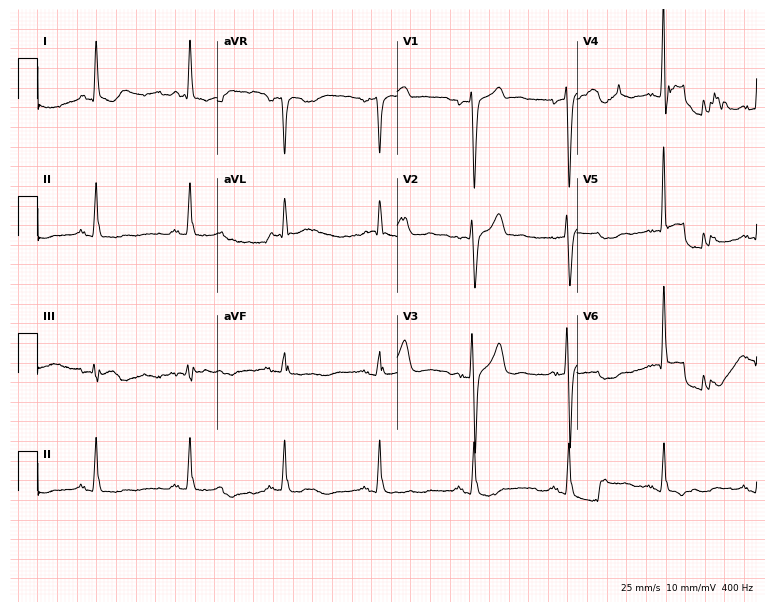
Electrocardiogram (7.3-second recording at 400 Hz), a 56-year-old male. Of the six screened findings (first-degree AV block, right bundle branch block, left bundle branch block, sinus bradycardia, atrial fibrillation, sinus tachycardia), none is recorded. Only these six findings were labelled.